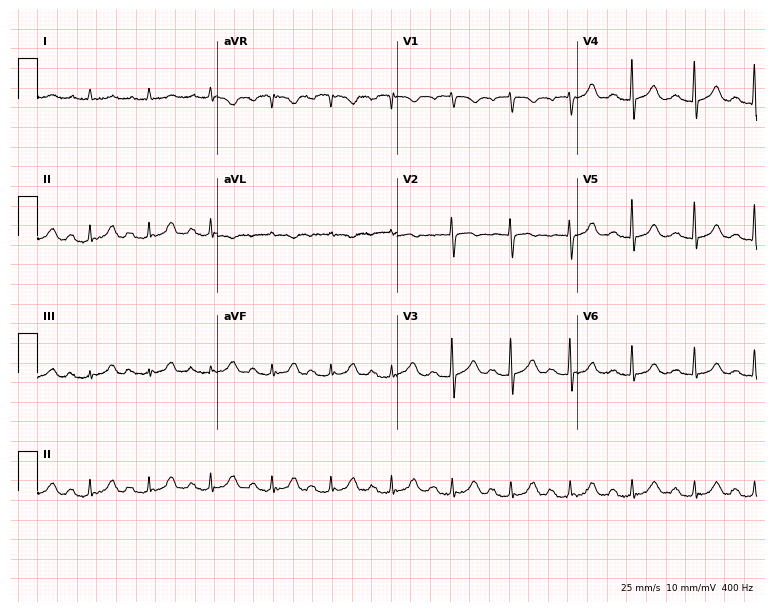
Standard 12-lead ECG recorded from a female patient, 80 years old (7.3-second recording at 400 Hz). Read as a normal ECG.